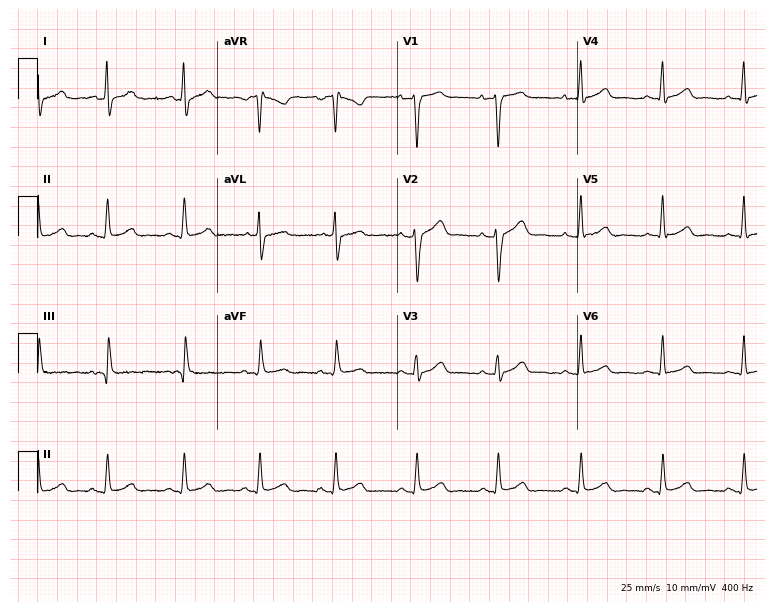
ECG (7.3-second recording at 400 Hz) — a 38-year-old female patient. Labelled as a normal ECG.